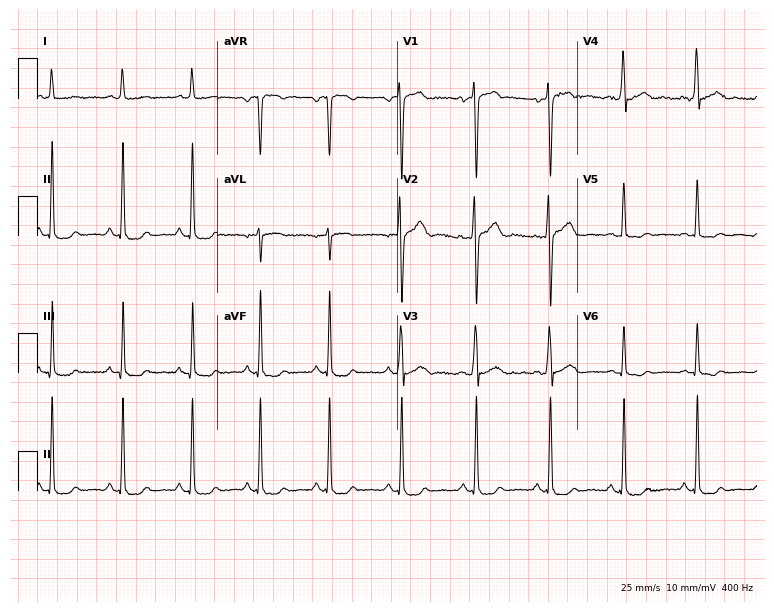
Resting 12-lead electrocardiogram. Patient: a man, 25 years old. Read as a normal ECG.